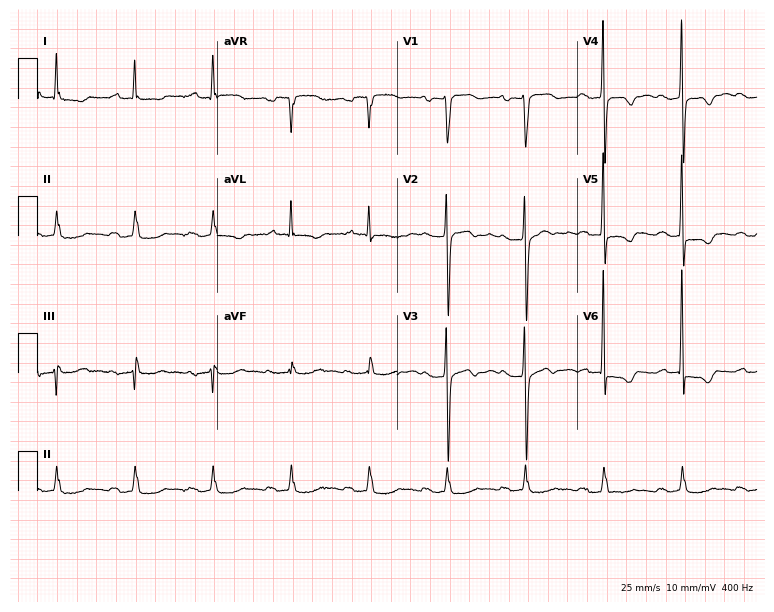
ECG — a 79-year-old man. Findings include first-degree AV block.